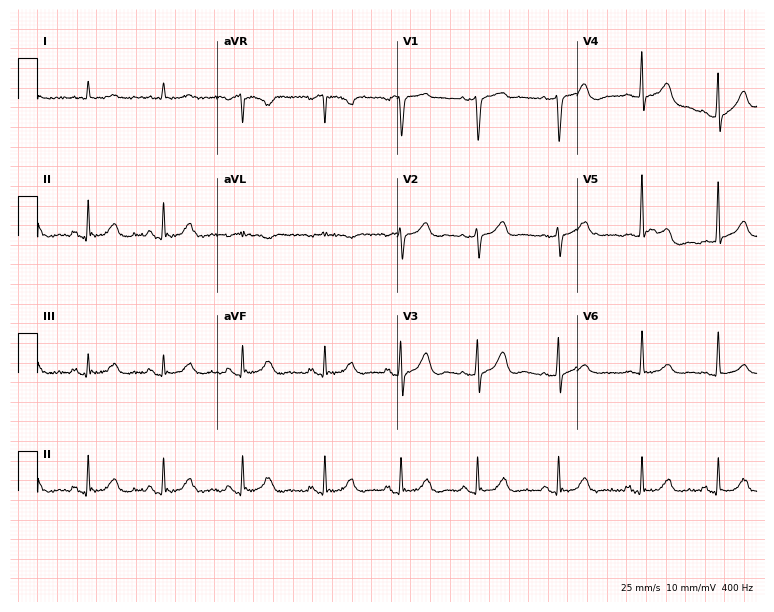
Resting 12-lead electrocardiogram. Patient: a man, 82 years old. None of these six findings is recorded: first-degree AV block, right bundle branch block, left bundle branch block, sinus bradycardia, atrial fibrillation, sinus tachycardia.